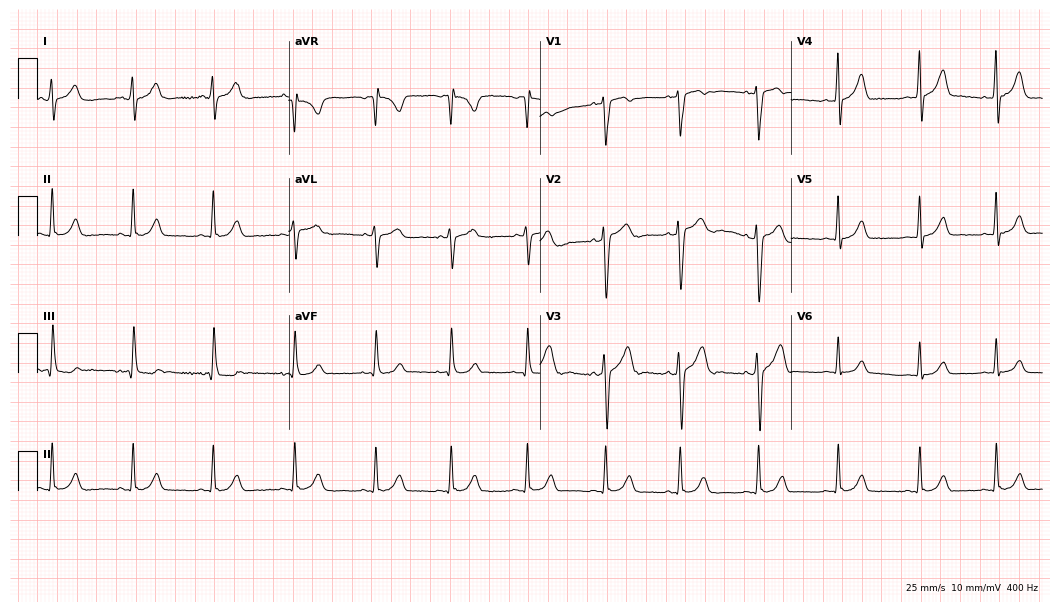
Standard 12-lead ECG recorded from an 18-year-old woman. Read as a normal ECG.